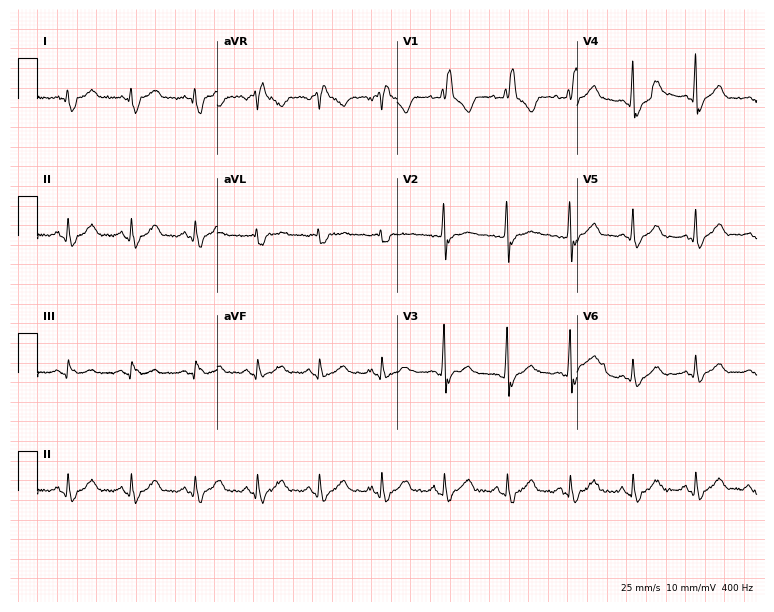
12-lead ECG (7.3-second recording at 400 Hz) from a 50-year-old male. Findings include right bundle branch block.